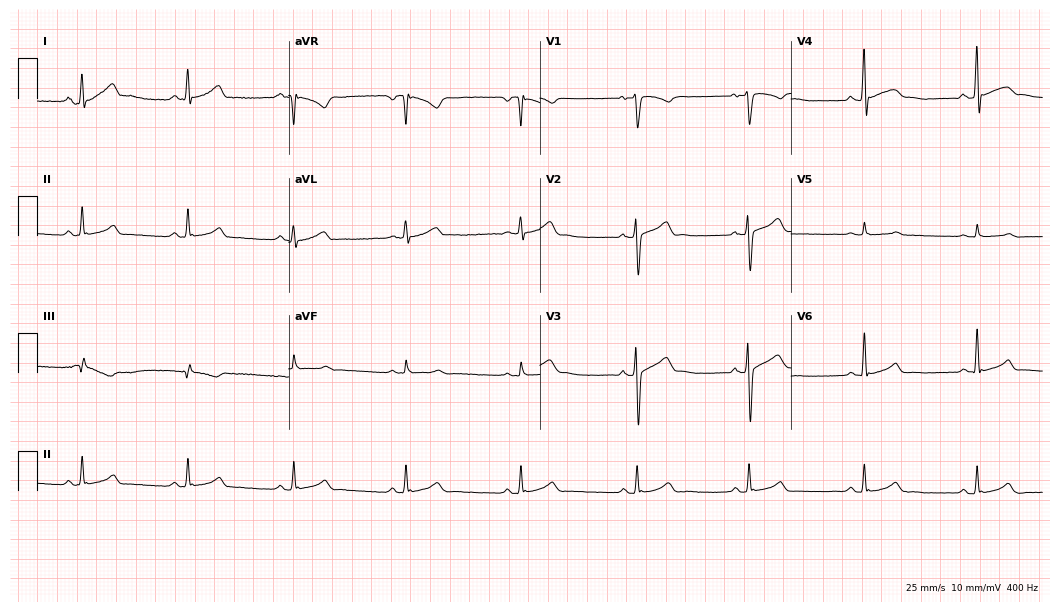
Electrocardiogram (10.2-second recording at 400 Hz), a 32-year-old male. Of the six screened findings (first-degree AV block, right bundle branch block, left bundle branch block, sinus bradycardia, atrial fibrillation, sinus tachycardia), none is recorded. Only these six findings were labelled.